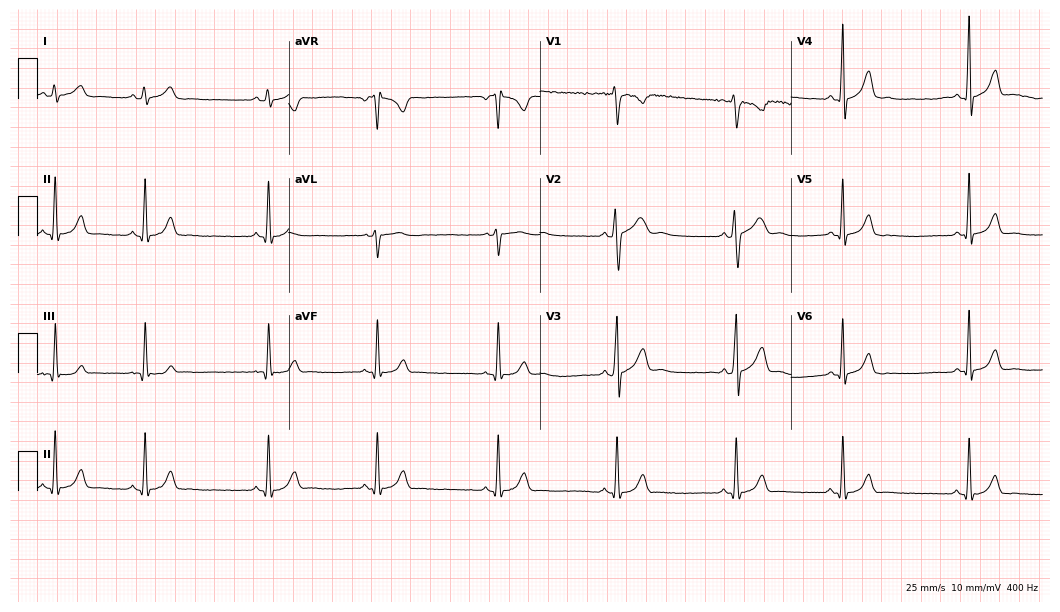
Resting 12-lead electrocardiogram. Patient: a male, 26 years old. Read as a normal ECG.